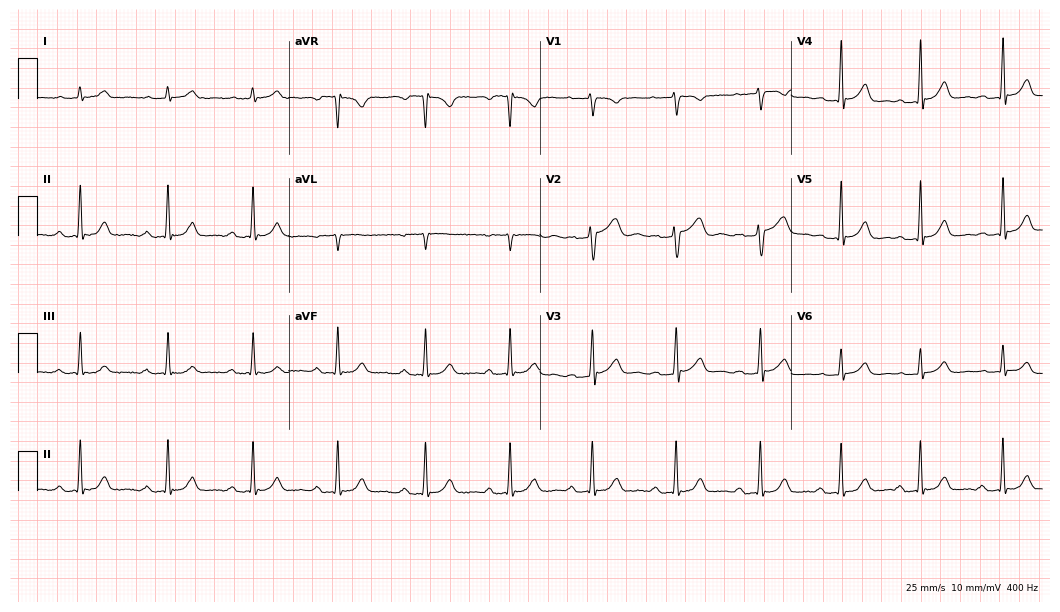
12-lead ECG from a female patient, 32 years old (10.2-second recording at 400 Hz). Recorded interpretation: within normal limits.